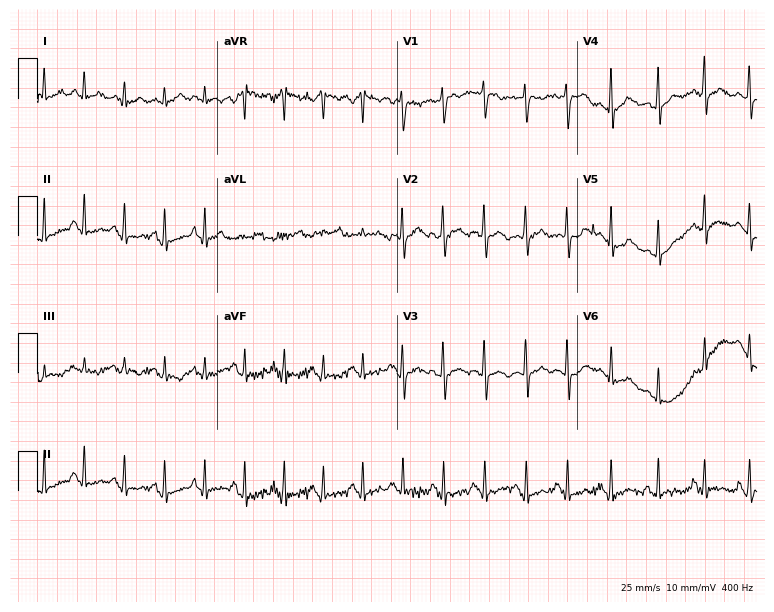
ECG (7.3-second recording at 400 Hz) — a 25-year-old female patient. Findings include sinus tachycardia (a sinus rate of 100 beats per minute or more).